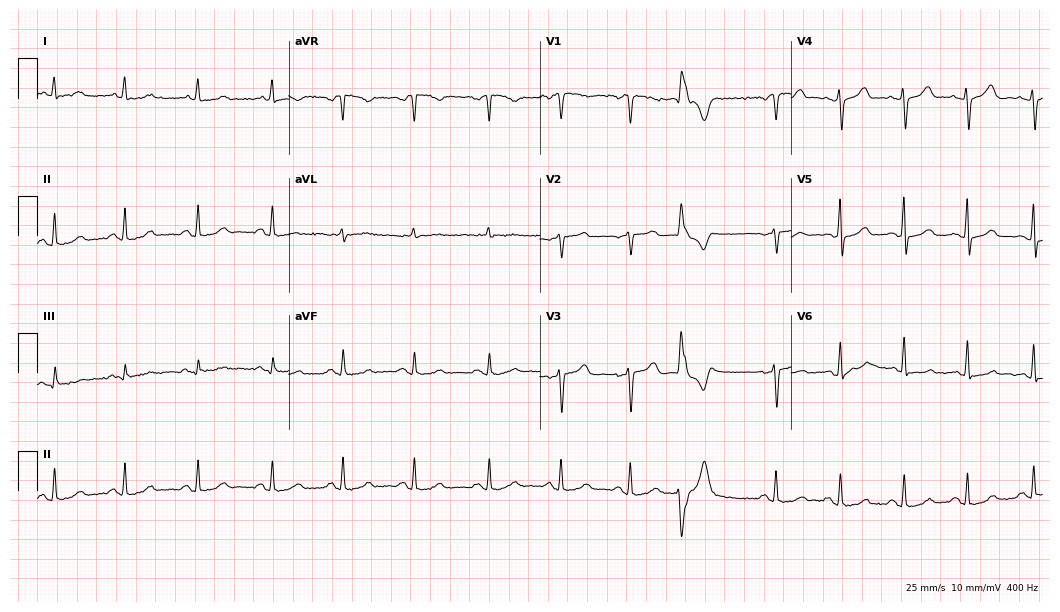
12-lead ECG from a 50-year-old woman. Screened for six findings — first-degree AV block, right bundle branch block, left bundle branch block, sinus bradycardia, atrial fibrillation, sinus tachycardia — none is recorded. Only these six findings were labelled.